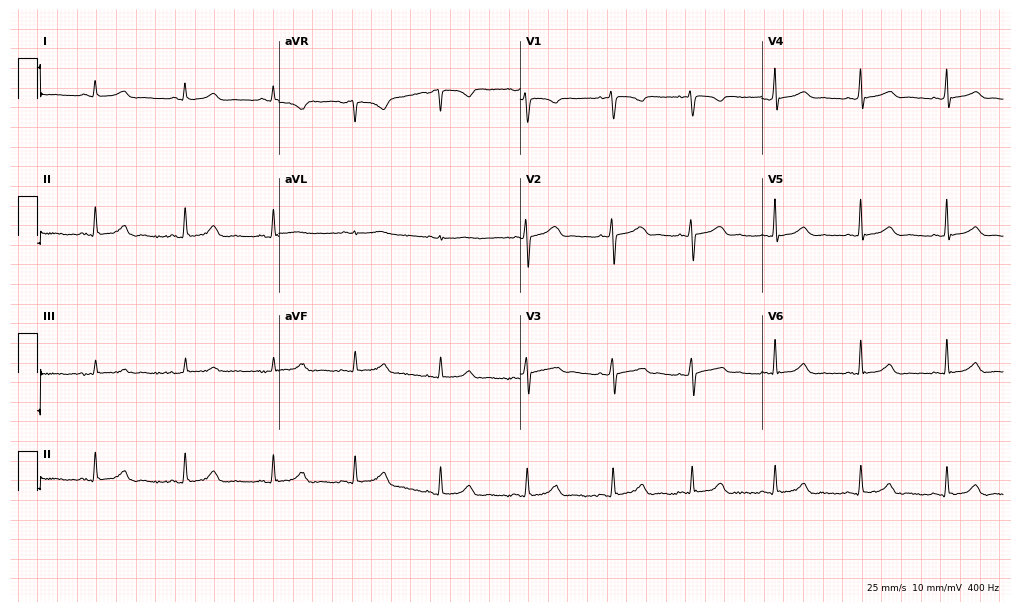
ECG (9.8-second recording at 400 Hz) — a woman, 30 years old. Labelled as a normal ECG.